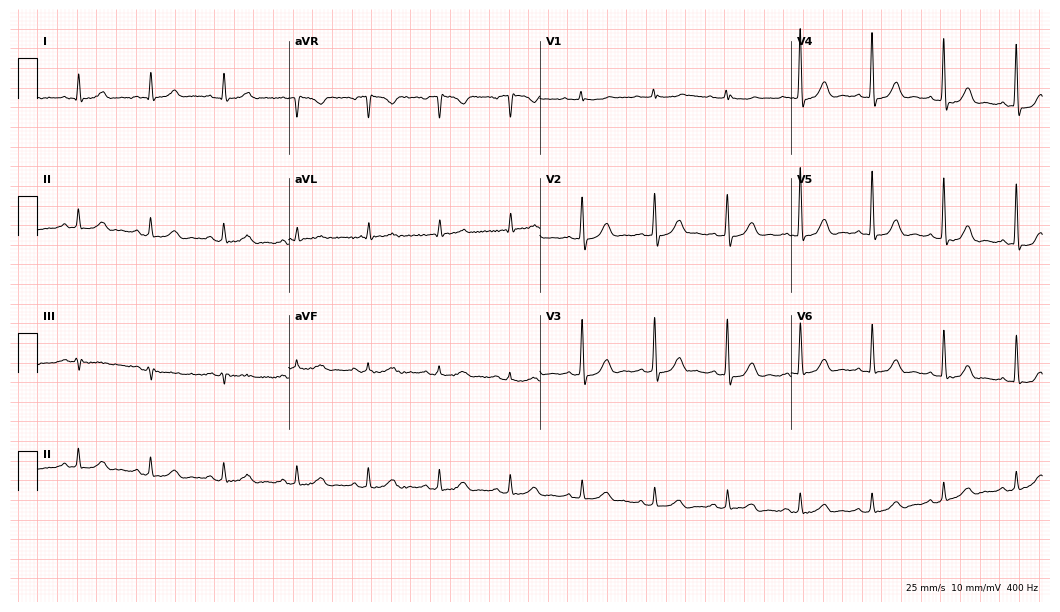
Electrocardiogram (10.2-second recording at 400 Hz), a male patient, 86 years old. Of the six screened findings (first-degree AV block, right bundle branch block, left bundle branch block, sinus bradycardia, atrial fibrillation, sinus tachycardia), none is recorded.